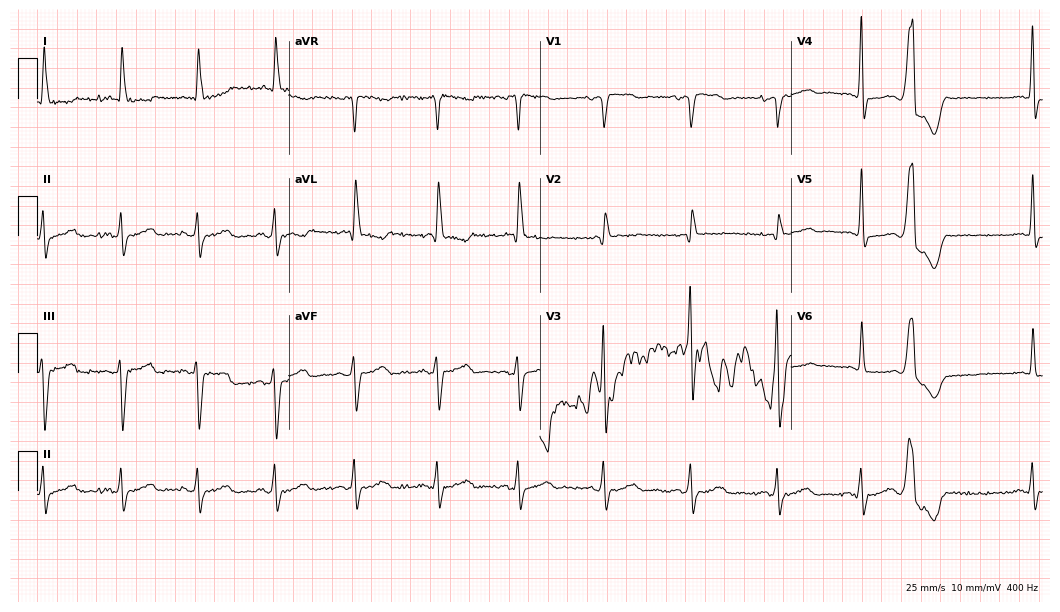
12-lead ECG from a female patient, 84 years old. No first-degree AV block, right bundle branch block (RBBB), left bundle branch block (LBBB), sinus bradycardia, atrial fibrillation (AF) or sinus tachycardia recorded for this tracing.